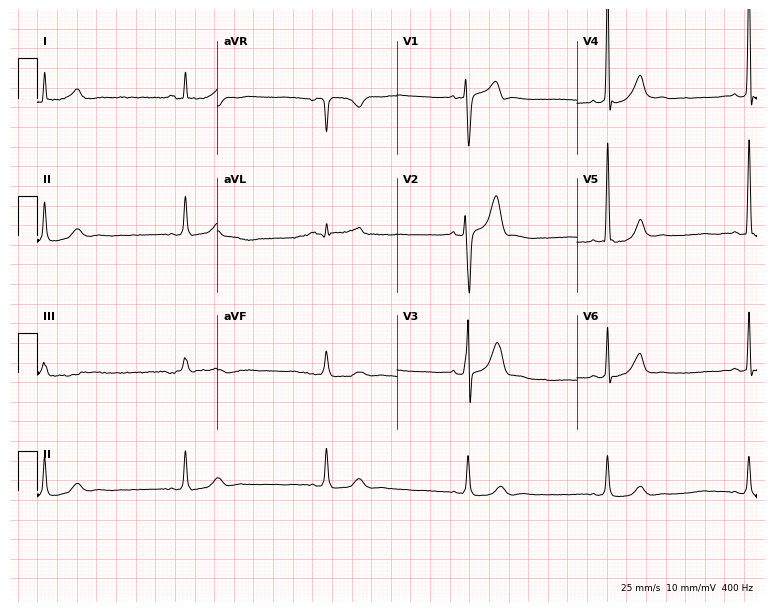
12-lead ECG from a male, 56 years old (7.3-second recording at 400 Hz). Shows sinus bradycardia (a sinus rate of 50 beats per minute or less).